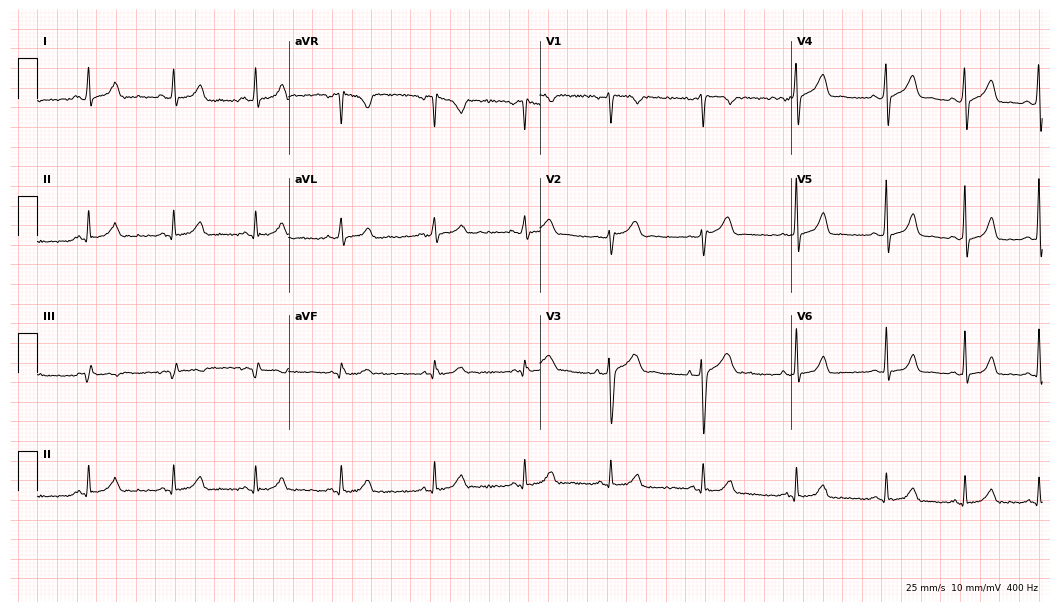
Standard 12-lead ECG recorded from a woman, 31 years old (10.2-second recording at 400 Hz). None of these six findings is recorded: first-degree AV block, right bundle branch block (RBBB), left bundle branch block (LBBB), sinus bradycardia, atrial fibrillation (AF), sinus tachycardia. Findings outside these six are not listed.